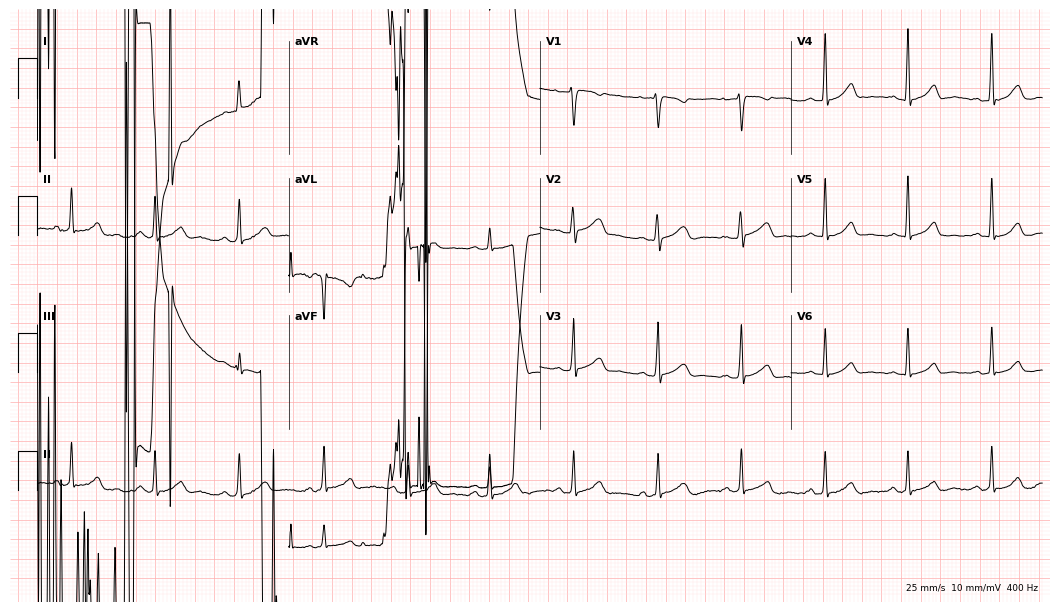
Resting 12-lead electrocardiogram. Patient: a 28-year-old female. None of these six findings is recorded: first-degree AV block, right bundle branch block, left bundle branch block, sinus bradycardia, atrial fibrillation, sinus tachycardia.